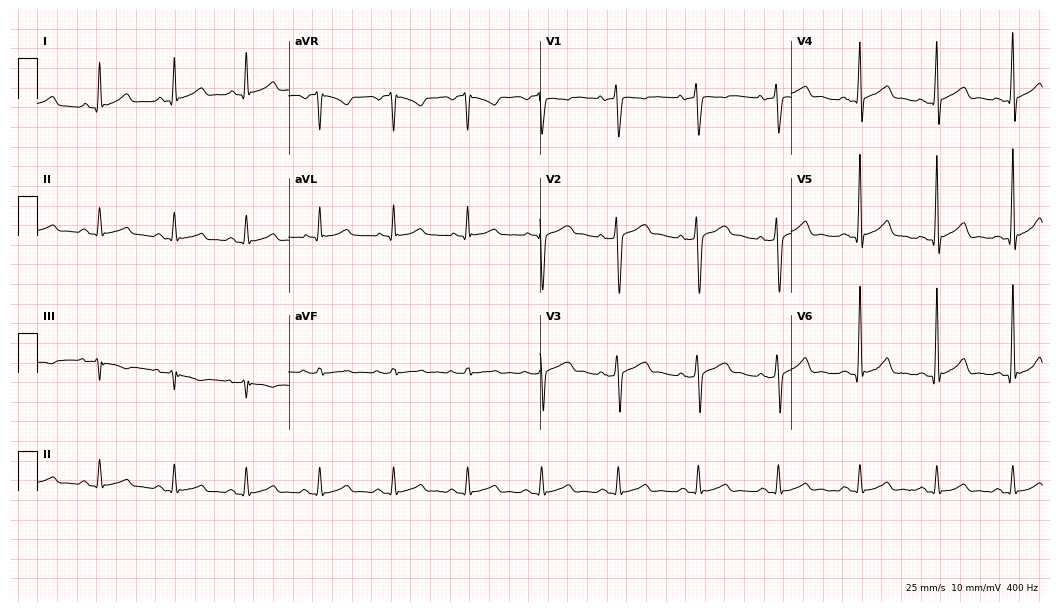
12-lead ECG from a woman, 74 years old. Screened for six findings — first-degree AV block, right bundle branch block, left bundle branch block, sinus bradycardia, atrial fibrillation, sinus tachycardia — none is recorded.